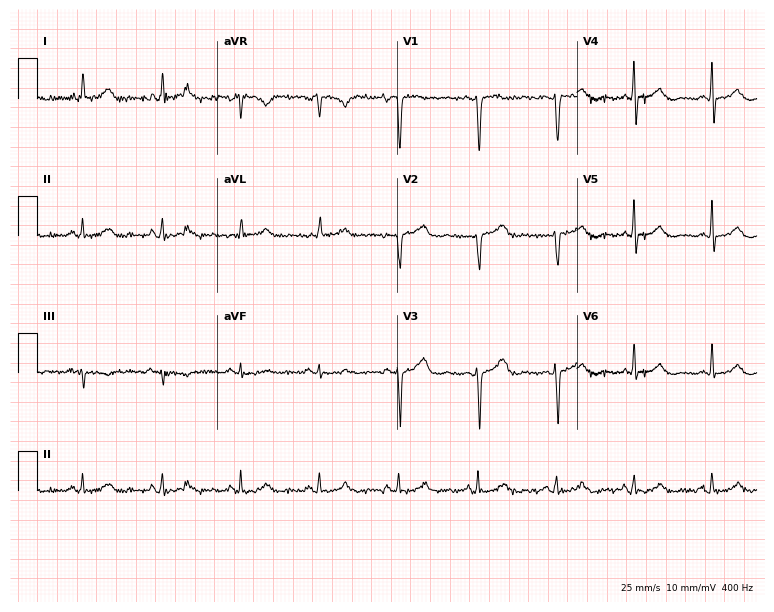
ECG (7.3-second recording at 400 Hz) — a 48-year-old female. Labelled as a normal ECG.